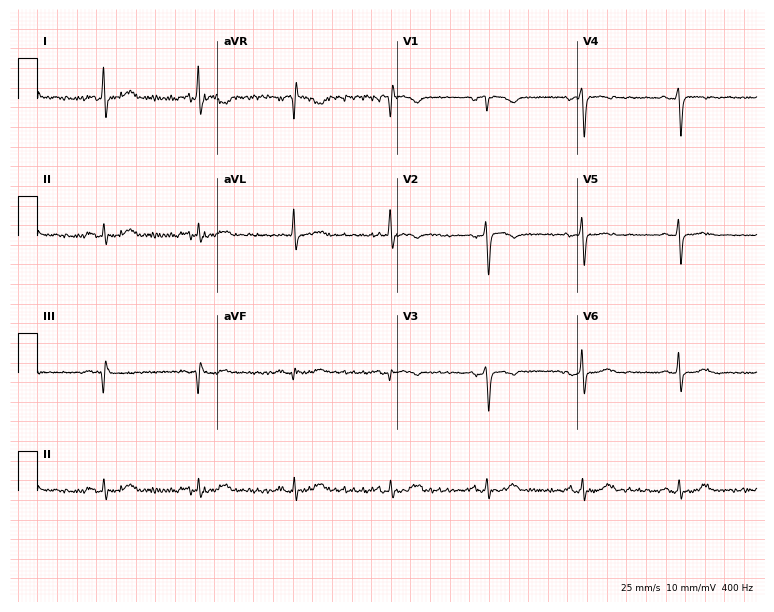
12-lead ECG (7.3-second recording at 400 Hz) from a woman, 63 years old. Screened for six findings — first-degree AV block, right bundle branch block, left bundle branch block, sinus bradycardia, atrial fibrillation, sinus tachycardia — none is recorded. Other findings, if any, are not listed.